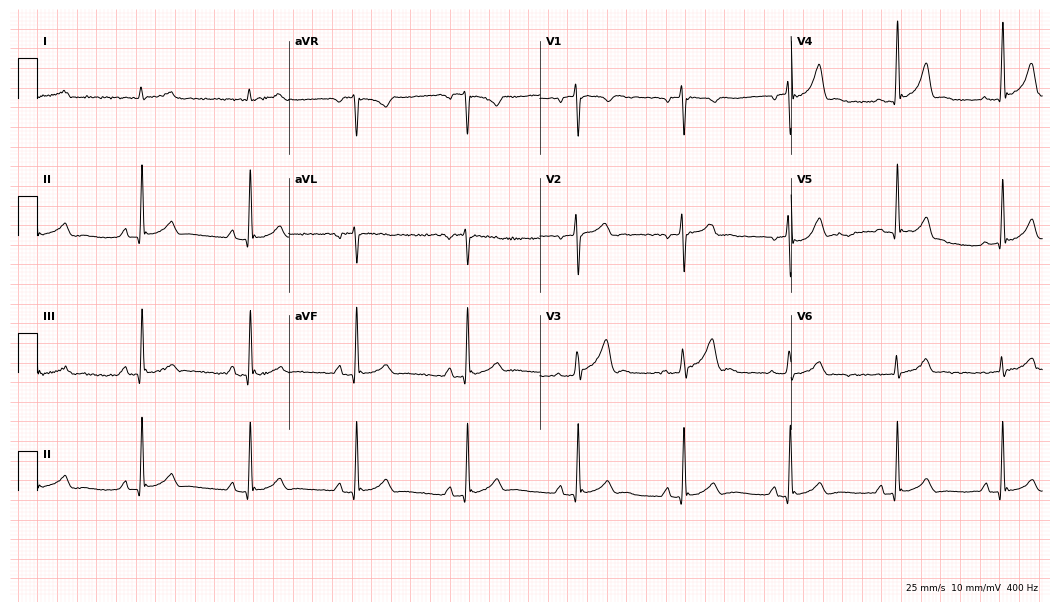
12-lead ECG from a man, 24 years old. Recorded interpretation: within normal limits.